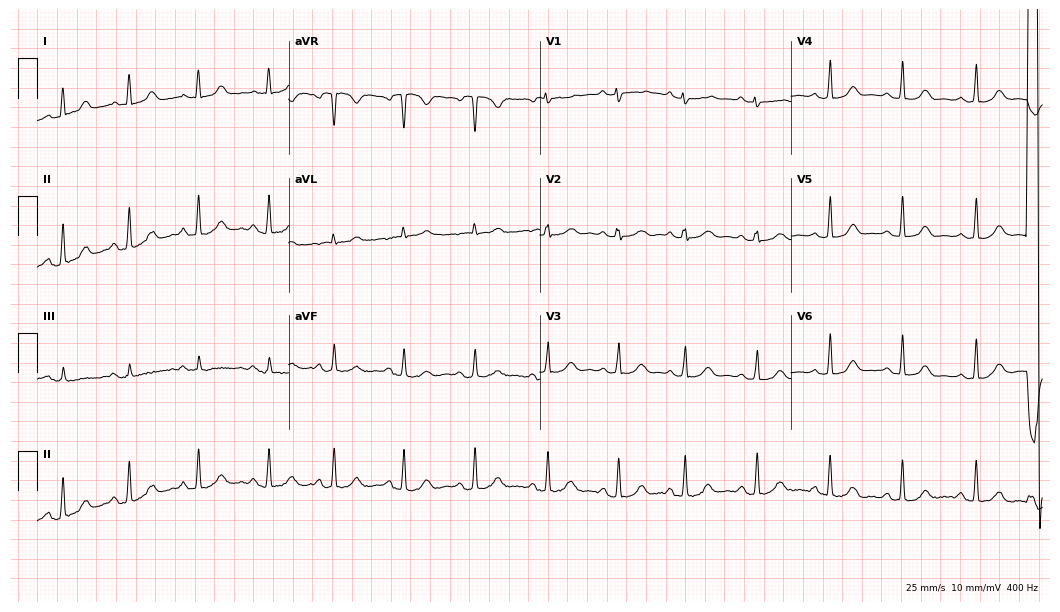
Electrocardiogram, a 35-year-old female. Of the six screened findings (first-degree AV block, right bundle branch block, left bundle branch block, sinus bradycardia, atrial fibrillation, sinus tachycardia), none is recorded. Findings outside these six are not listed.